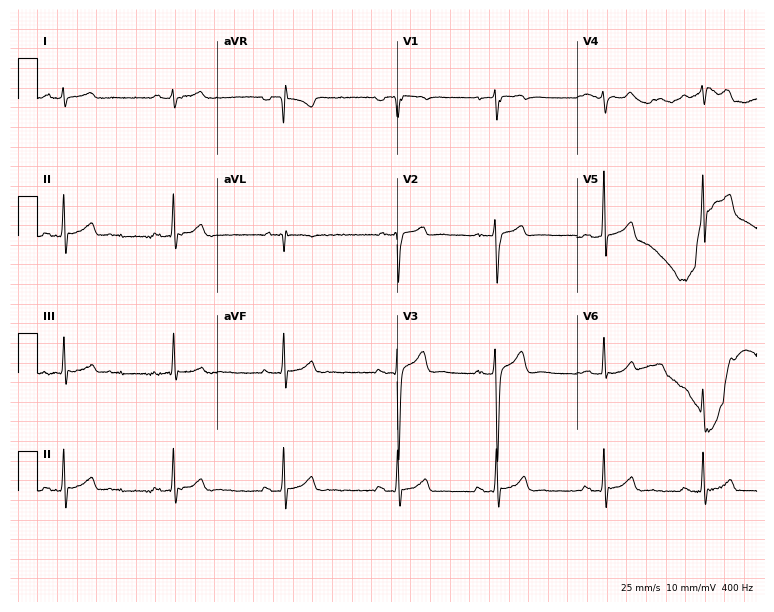
12-lead ECG from a man, 17 years old (7.3-second recording at 400 Hz). Recorded interpretation: within normal limits.